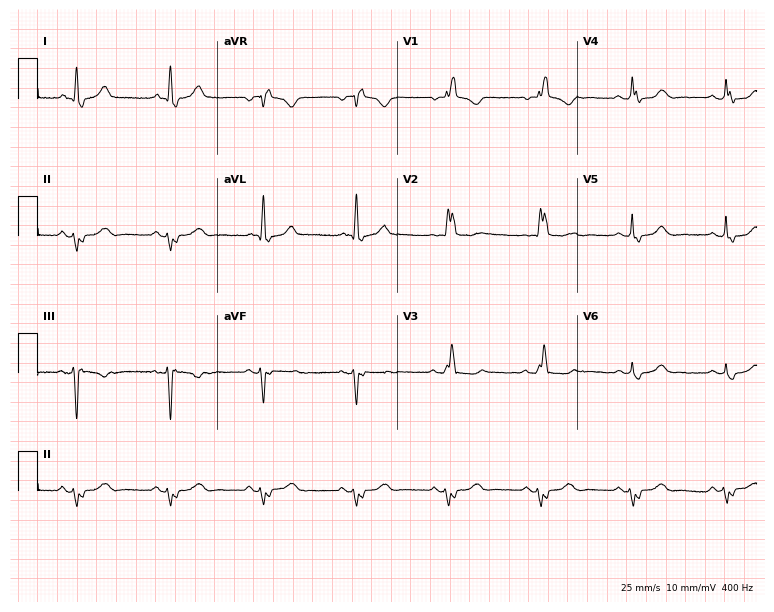
Standard 12-lead ECG recorded from a woman, 63 years old. None of these six findings is recorded: first-degree AV block, right bundle branch block, left bundle branch block, sinus bradycardia, atrial fibrillation, sinus tachycardia. Other findings, if any, are not listed.